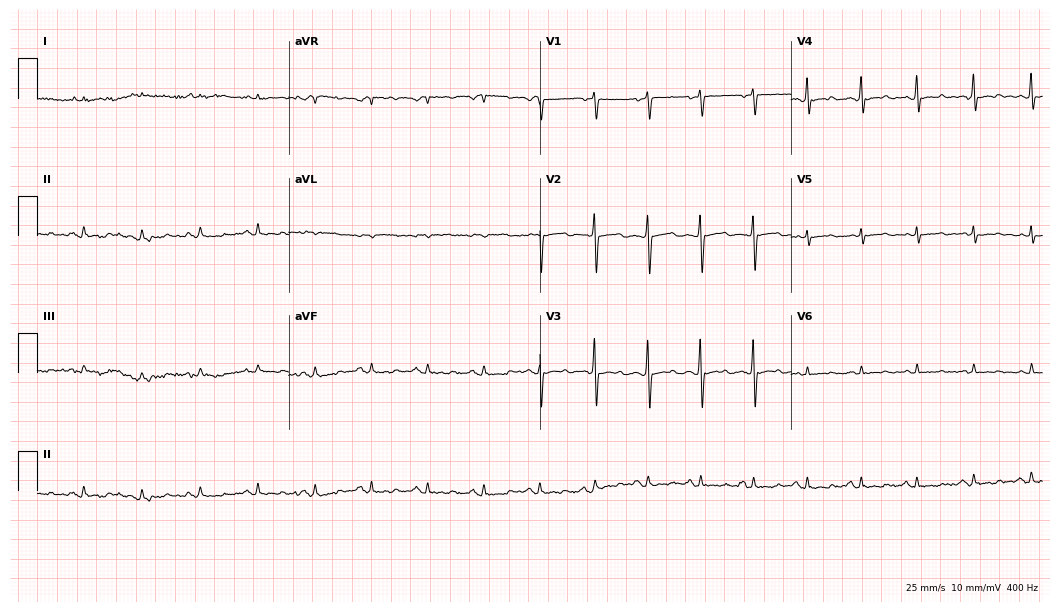
Electrocardiogram, a female patient, 55 years old. Interpretation includes sinus tachycardia (a sinus rate of 100 beats per minute or more).